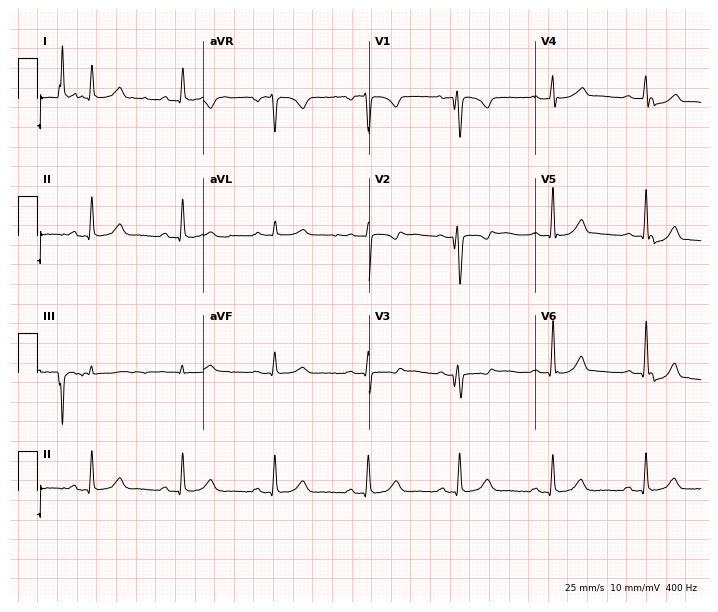
12-lead ECG from a 42-year-old woman. No first-degree AV block, right bundle branch block (RBBB), left bundle branch block (LBBB), sinus bradycardia, atrial fibrillation (AF) or sinus tachycardia recorded for this tracing. Other findings, if any, are not listed.